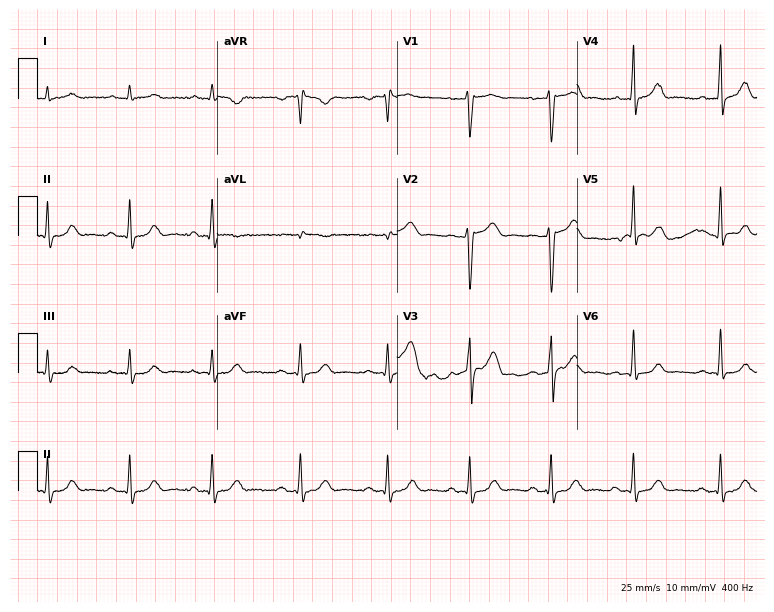
ECG — a 31-year-old male patient. Labelled as a normal ECG.